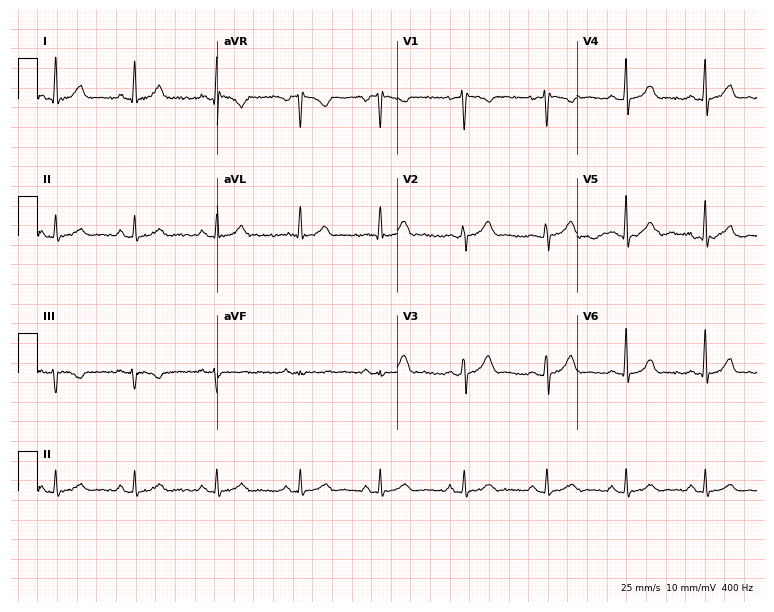
12-lead ECG from a 35-year-old woman (7.3-second recording at 400 Hz). Recorded interpretation: within normal limits.